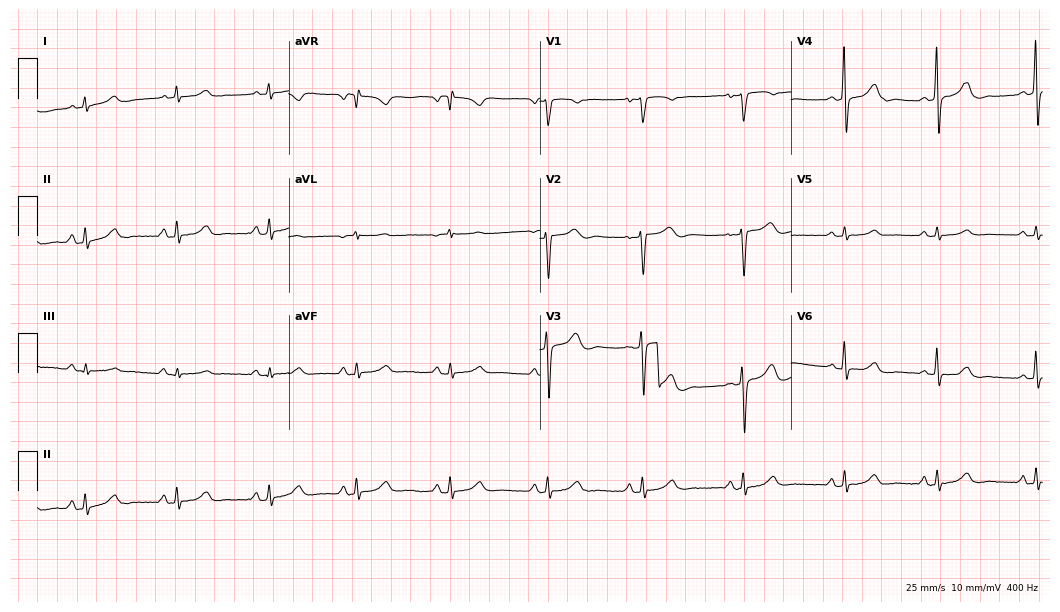
Electrocardiogram, a female patient, 43 years old. Overall reading on record: normal ECG.